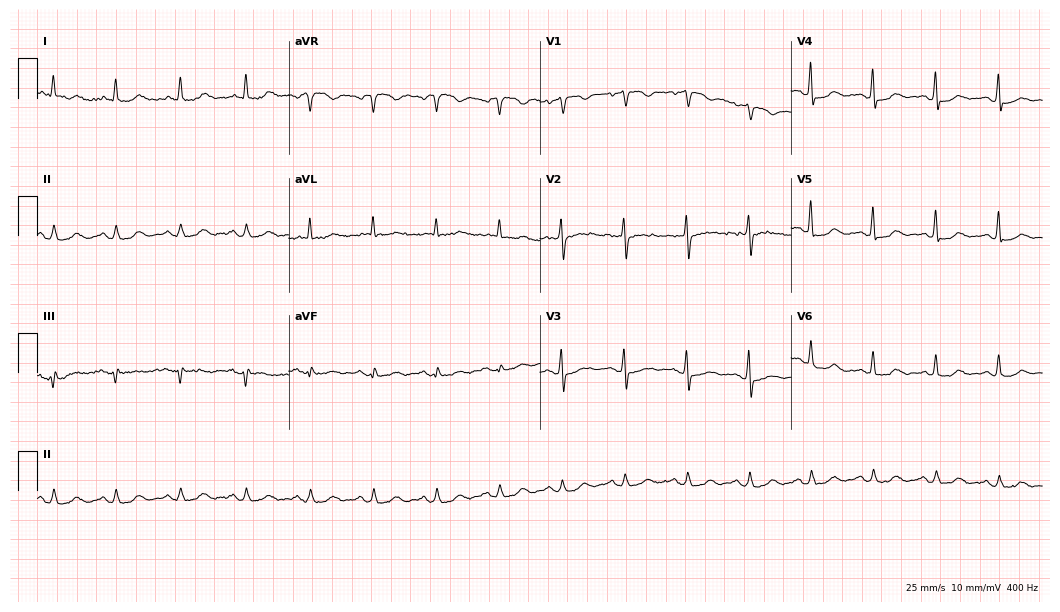
Resting 12-lead electrocardiogram (10.2-second recording at 400 Hz). Patient: a woman, 66 years old. None of these six findings is recorded: first-degree AV block, right bundle branch block, left bundle branch block, sinus bradycardia, atrial fibrillation, sinus tachycardia.